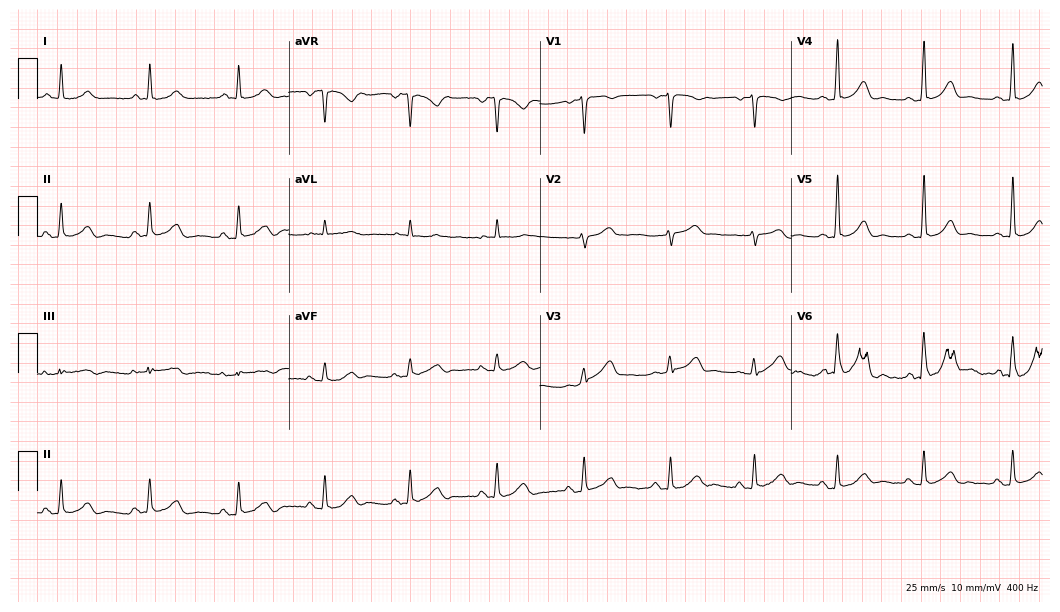
ECG — a 58-year-old female patient. Labelled as a normal ECG.